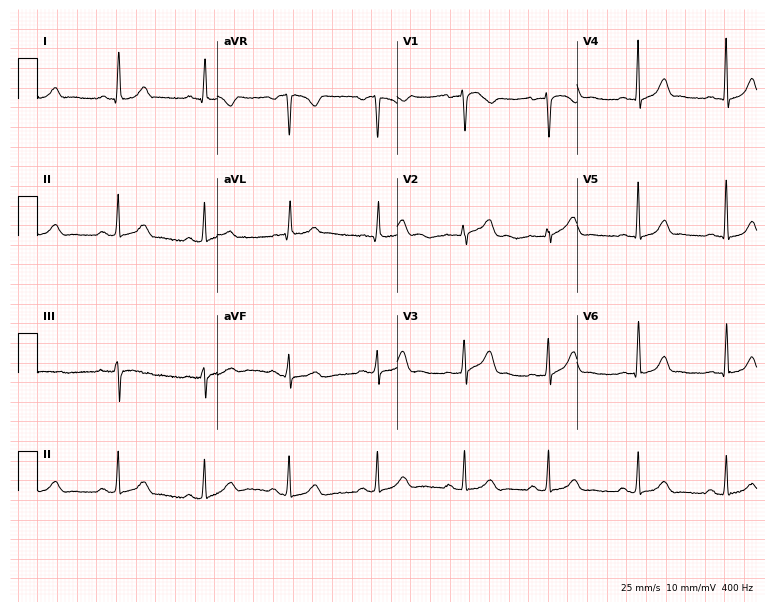
Resting 12-lead electrocardiogram (7.3-second recording at 400 Hz). Patient: a female, 44 years old. Read as a normal ECG.